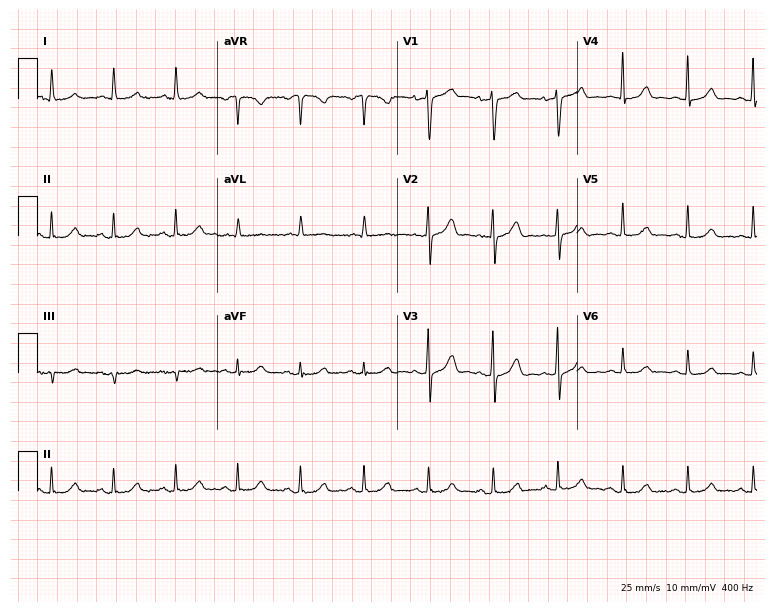
Resting 12-lead electrocardiogram. Patient: a female, 63 years old. Read as a normal ECG.